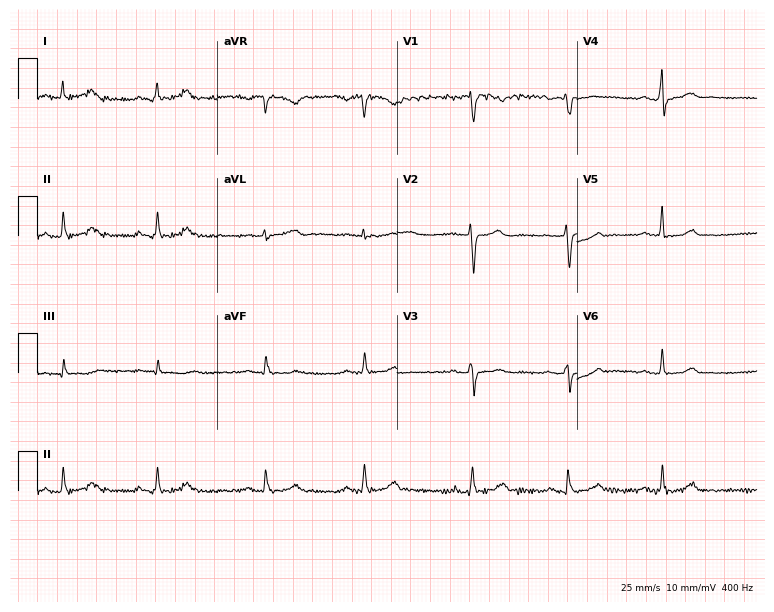
12-lead ECG from a female patient, 33 years old. Labelled as a normal ECG.